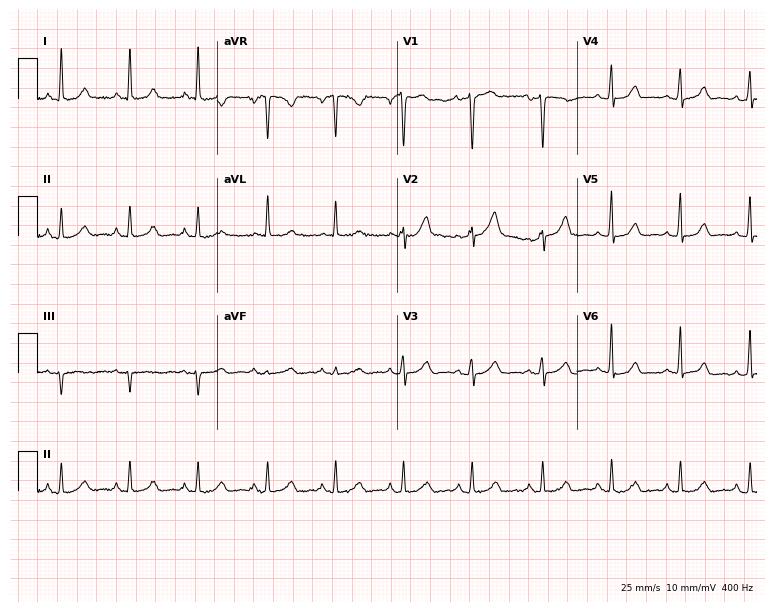
Resting 12-lead electrocardiogram (7.3-second recording at 400 Hz). Patient: a 44-year-old woman. None of these six findings is recorded: first-degree AV block, right bundle branch block, left bundle branch block, sinus bradycardia, atrial fibrillation, sinus tachycardia. Findings outside these six are not listed.